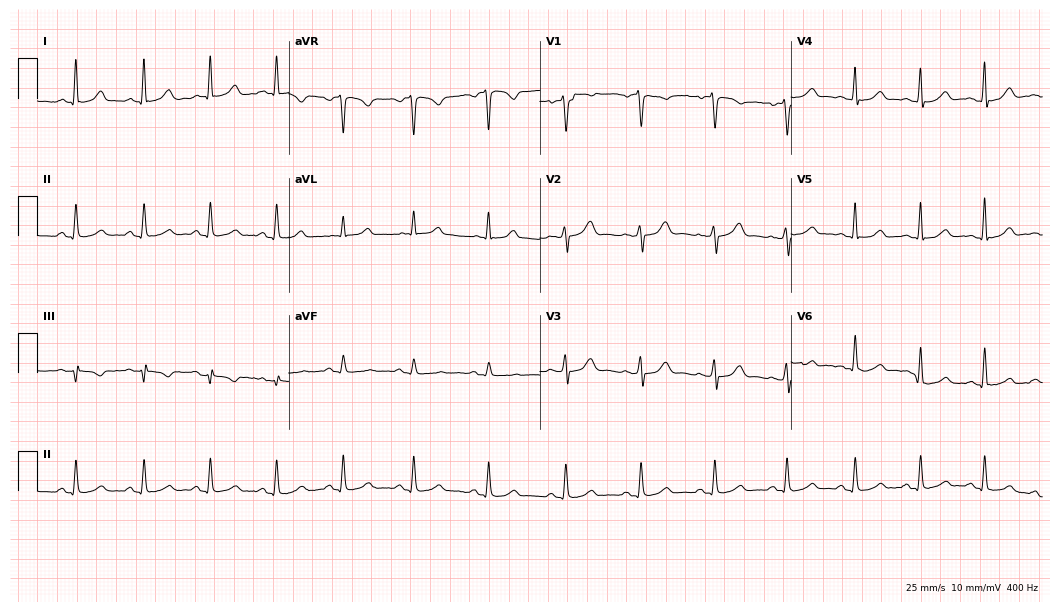
Standard 12-lead ECG recorded from a 42-year-old female patient. Read as a normal ECG.